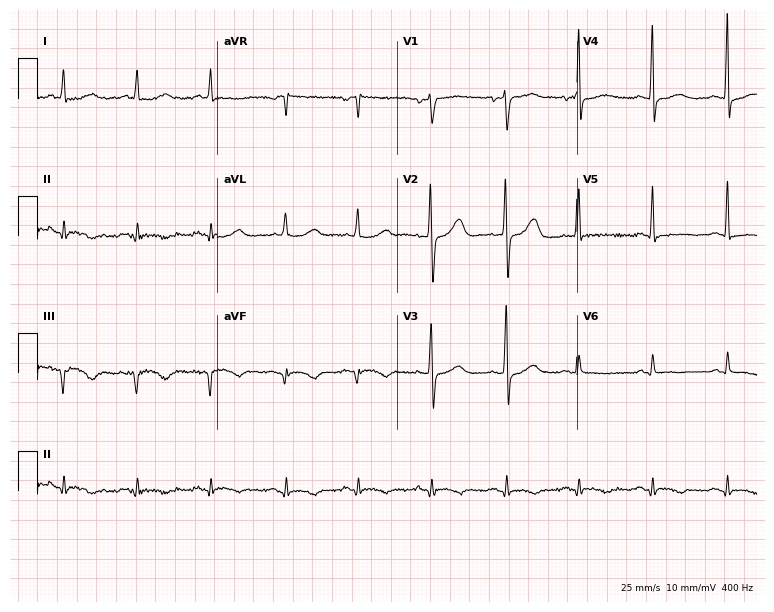
Resting 12-lead electrocardiogram (7.3-second recording at 400 Hz). Patient: a male, 65 years old. None of these six findings is recorded: first-degree AV block, right bundle branch block, left bundle branch block, sinus bradycardia, atrial fibrillation, sinus tachycardia. Other findings, if any, are not listed.